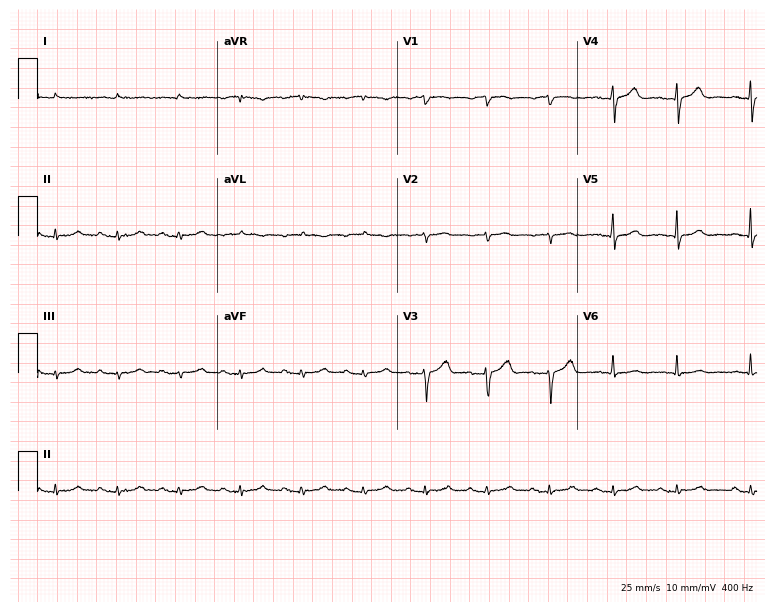
Resting 12-lead electrocardiogram (7.3-second recording at 400 Hz). Patient: a male, 72 years old. None of these six findings is recorded: first-degree AV block, right bundle branch block, left bundle branch block, sinus bradycardia, atrial fibrillation, sinus tachycardia. Only these six findings were labelled.